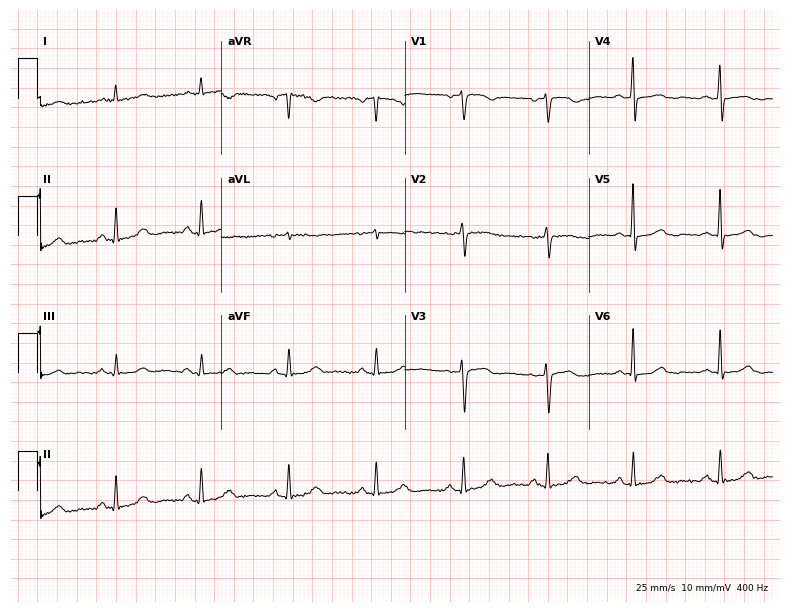
12-lead ECG from a woman, 68 years old (7.5-second recording at 400 Hz). No first-degree AV block, right bundle branch block, left bundle branch block, sinus bradycardia, atrial fibrillation or sinus tachycardia recorded for this tracing.